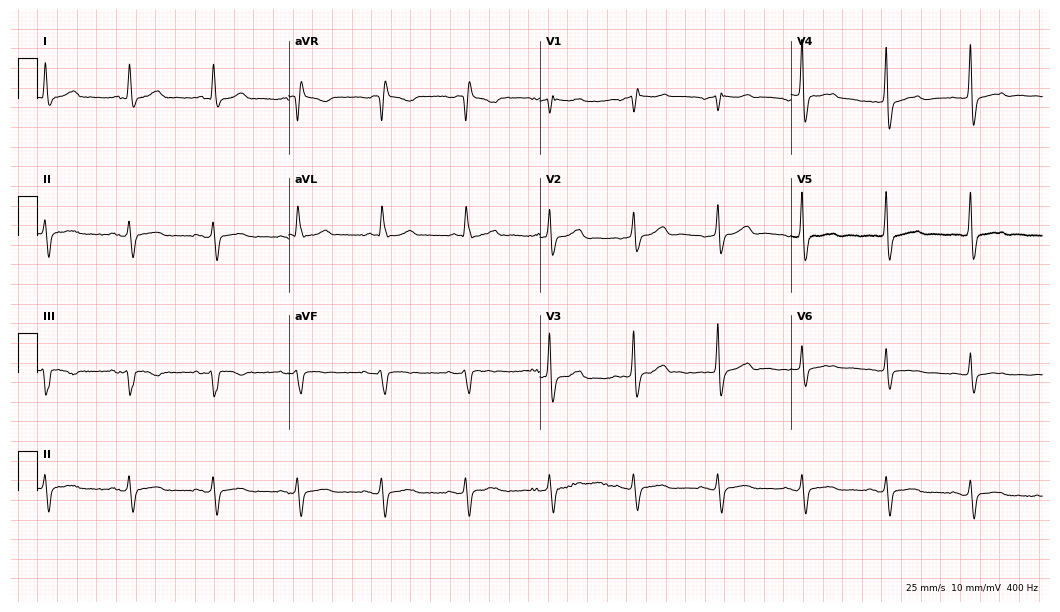
Electrocardiogram (10.2-second recording at 400 Hz), a female, 85 years old. Of the six screened findings (first-degree AV block, right bundle branch block (RBBB), left bundle branch block (LBBB), sinus bradycardia, atrial fibrillation (AF), sinus tachycardia), none is recorded.